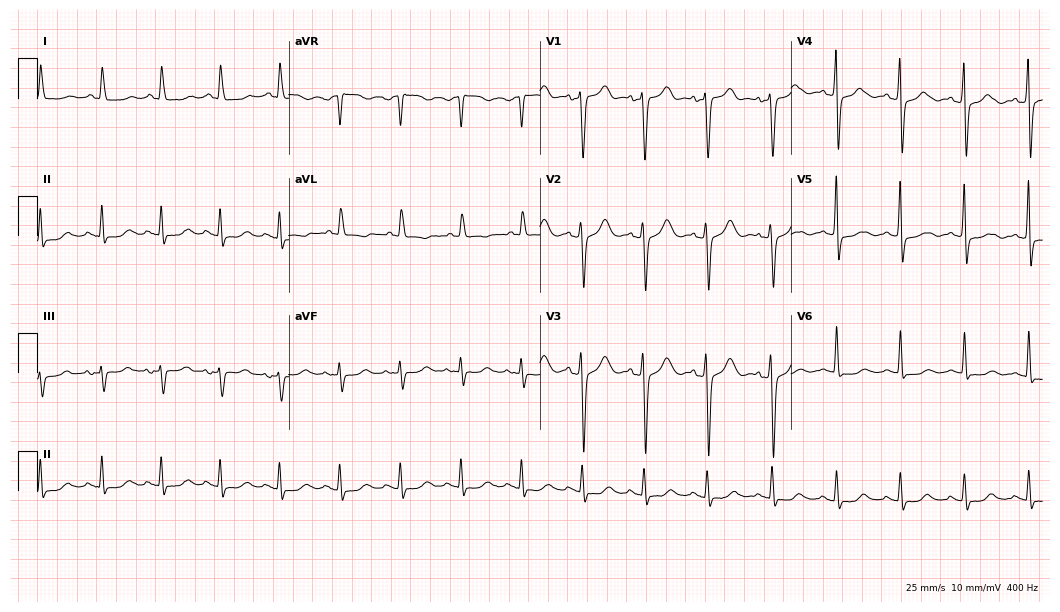
Standard 12-lead ECG recorded from a 71-year-old female. None of these six findings is recorded: first-degree AV block, right bundle branch block, left bundle branch block, sinus bradycardia, atrial fibrillation, sinus tachycardia.